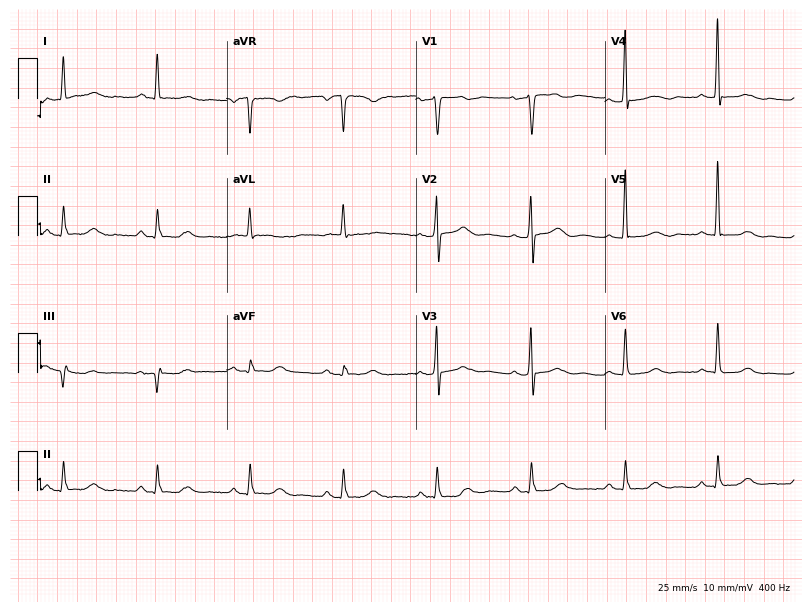
Resting 12-lead electrocardiogram (7.7-second recording at 400 Hz). Patient: an 83-year-old woman. None of these six findings is recorded: first-degree AV block, right bundle branch block, left bundle branch block, sinus bradycardia, atrial fibrillation, sinus tachycardia.